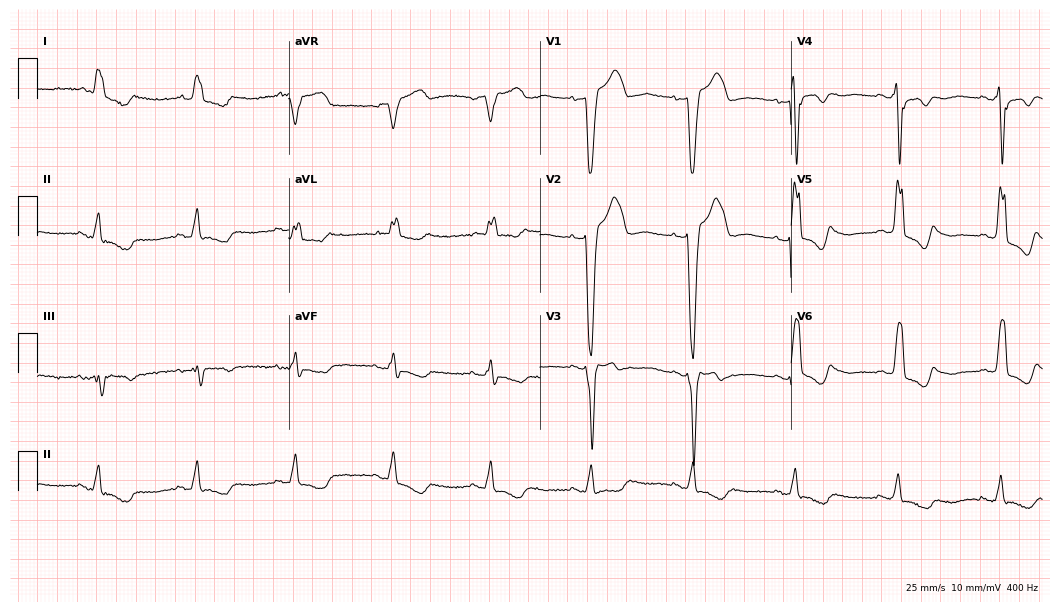
12-lead ECG from a 78-year-old man. Shows left bundle branch block.